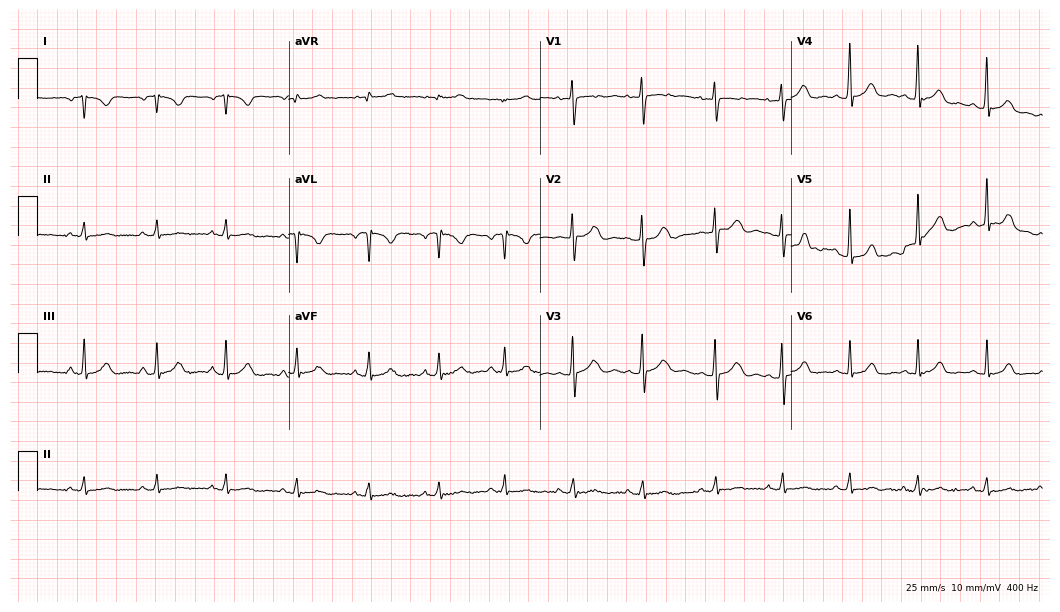
12-lead ECG from an 18-year-old woman. No first-degree AV block, right bundle branch block, left bundle branch block, sinus bradycardia, atrial fibrillation or sinus tachycardia recorded for this tracing.